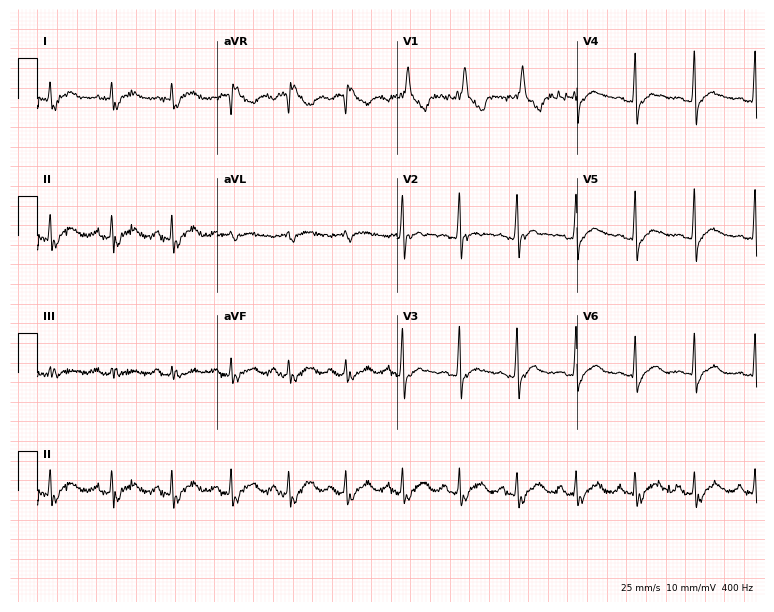
ECG — a 53-year-old male patient. Findings include right bundle branch block (RBBB).